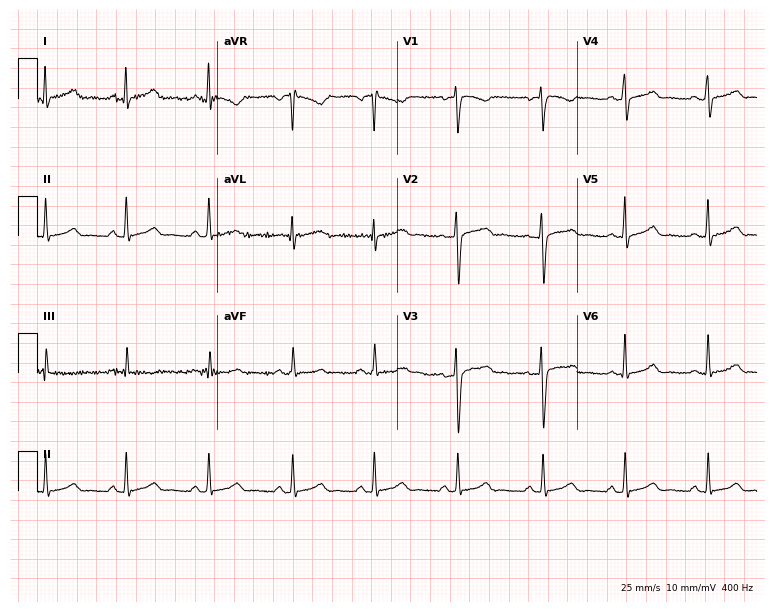
ECG (7.3-second recording at 400 Hz) — a 42-year-old female patient. Labelled as a normal ECG.